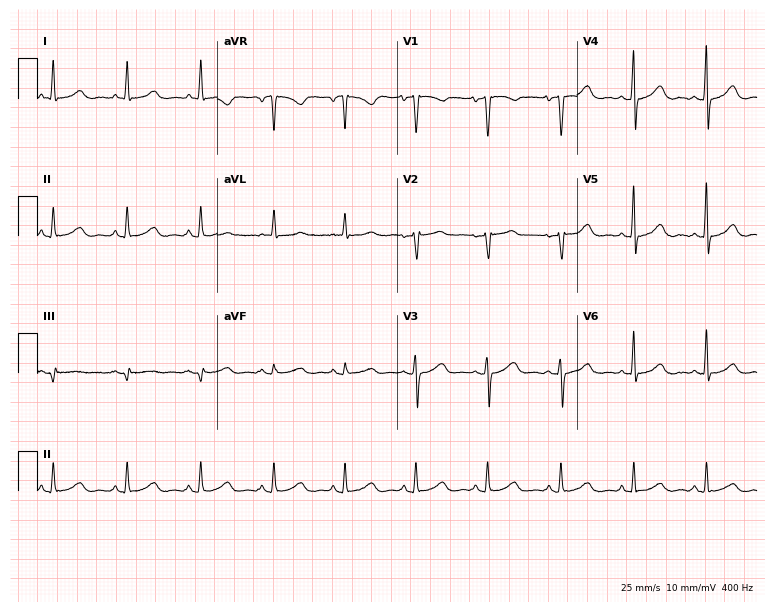
ECG (7.3-second recording at 400 Hz) — a 36-year-old woman. Labelled as a normal ECG.